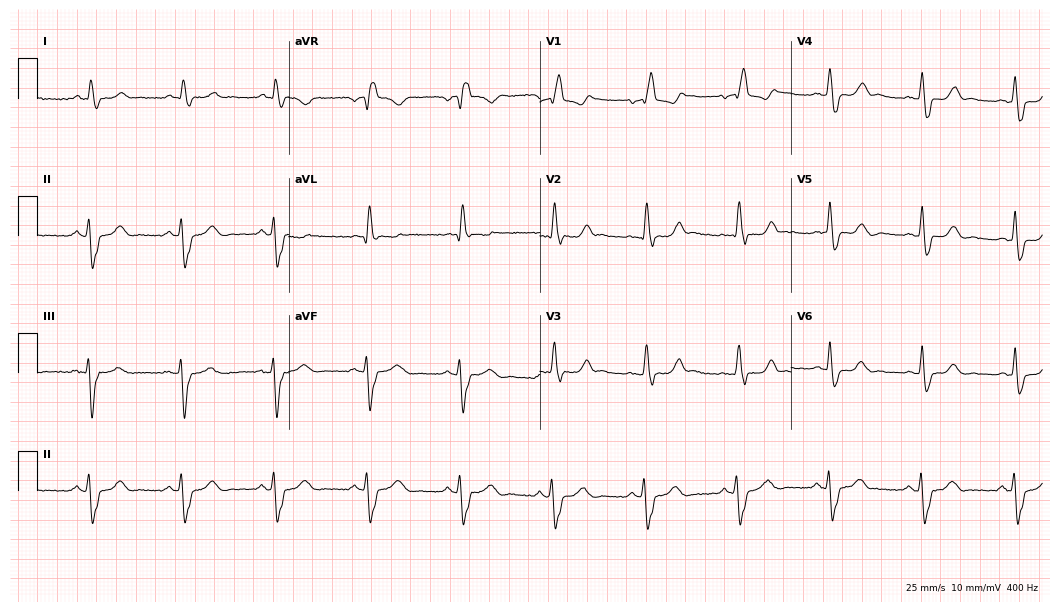
12-lead ECG from a 72-year-old man. Shows right bundle branch block (RBBB).